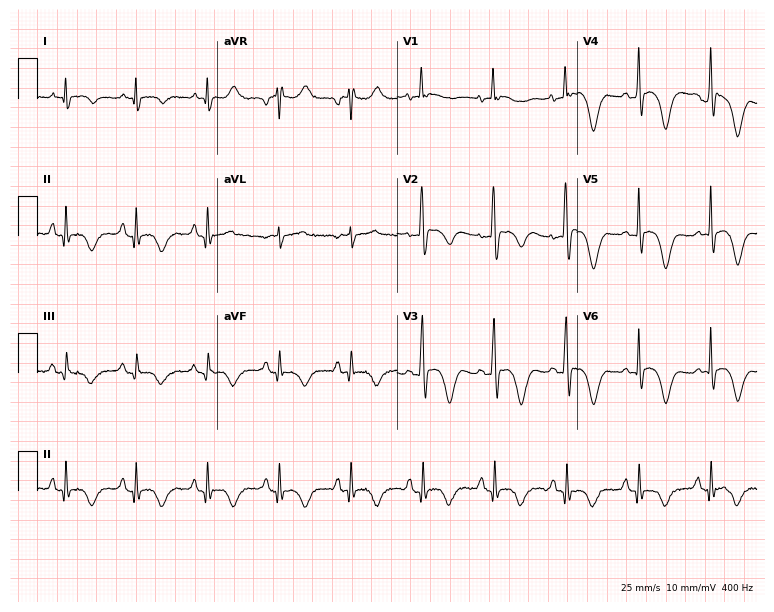
12-lead ECG from a 57-year-old male. No first-degree AV block, right bundle branch block, left bundle branch block, sinus bradycardia, atrial fibrillation or sinus tachycardia recorded for this tracing.